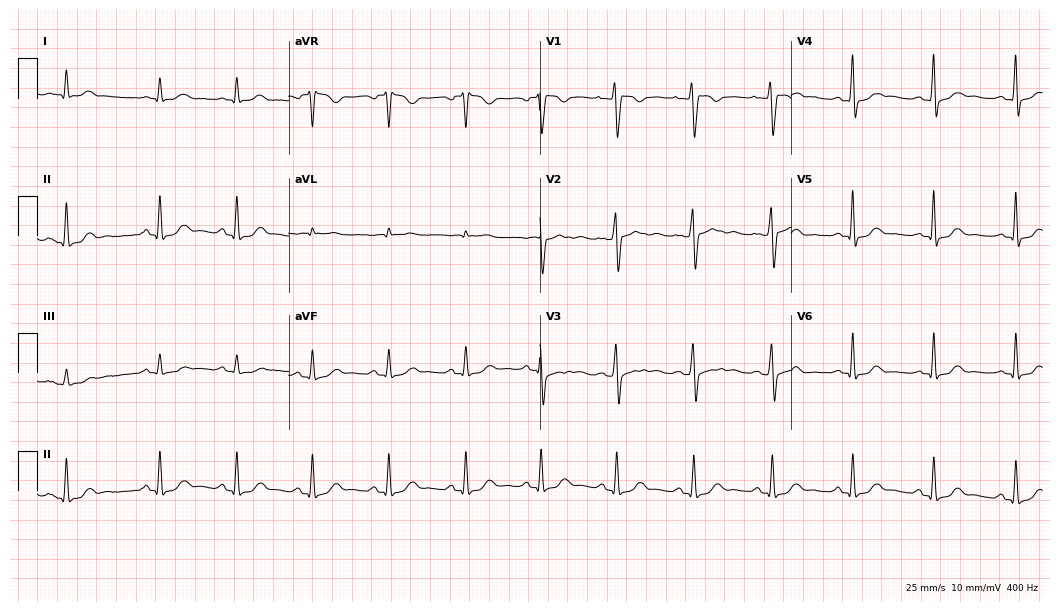
12-lead ECG (10.2-second recording at 400 Hz) from a woman, 48 years old. Screened for six findings — first-degree AV block, right bundle branch block, left bundle branch block, sinus bradycardia, atrial fibrillation, sinus tachycardia — none is recorded. Only these six findings were labelled.